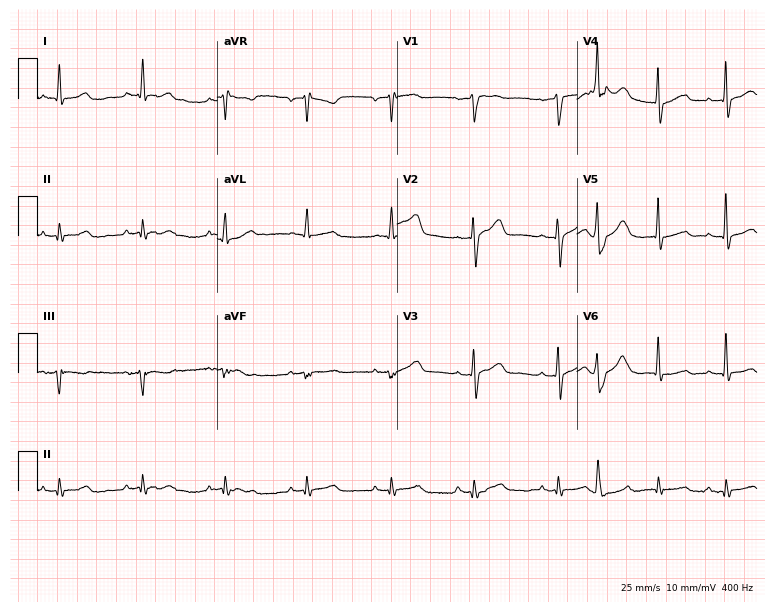
ECG — a man, 78 years old. Screened for six findings — first-degree AV block, right bundle branch block, left bundle branch block, sinus bradycardia, atrial fibrillation, sinus tachycardia — none is recorded. Other findings, if any, are not listed.